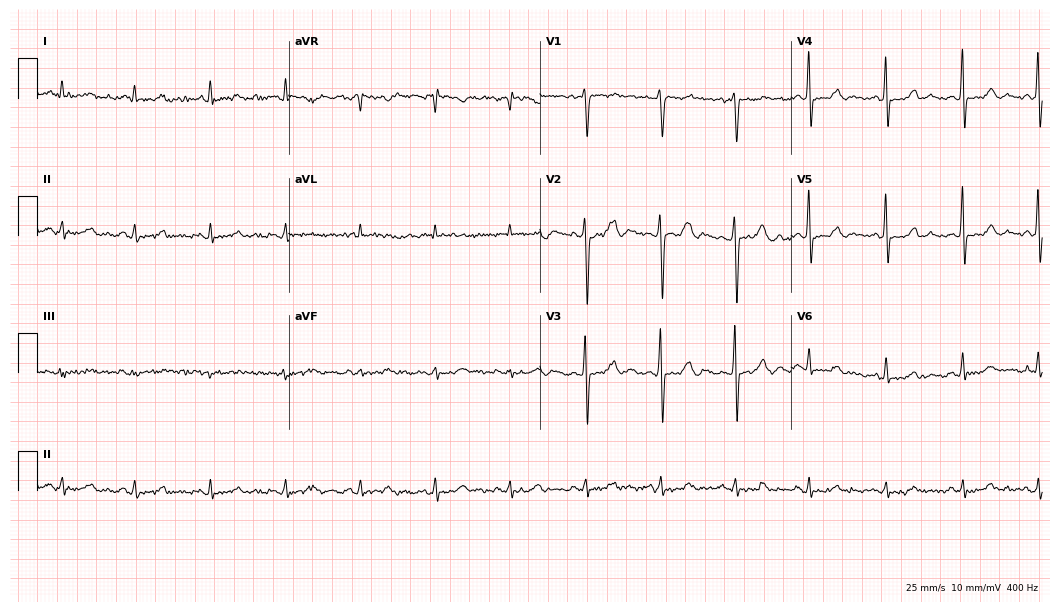
Electrocardiogram (10.2-second recording at 400 Hz), a male, 68 years old. Of the six screened findings (first-degree AV block, right bundle branch block (RBBB), left bundle branch block (LBBB), sinus bradycardia, atrial fibrillation (AF), sinus tachycardia), none is recorded.